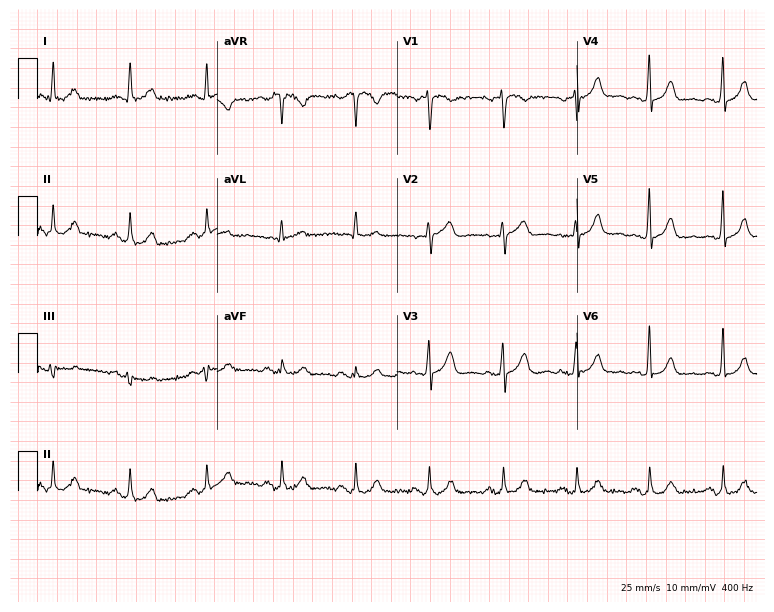
12-lead ECG (7.3-second recording at 400 Hz) from a female, 70 years old. Screened for six findings — first-degree AV block, right bundle branch block, left bundle branch block, sinus bradycardia, atrial fibrillation, sinus tachycardia — none is recorded. Other findings, if any, are not listed.